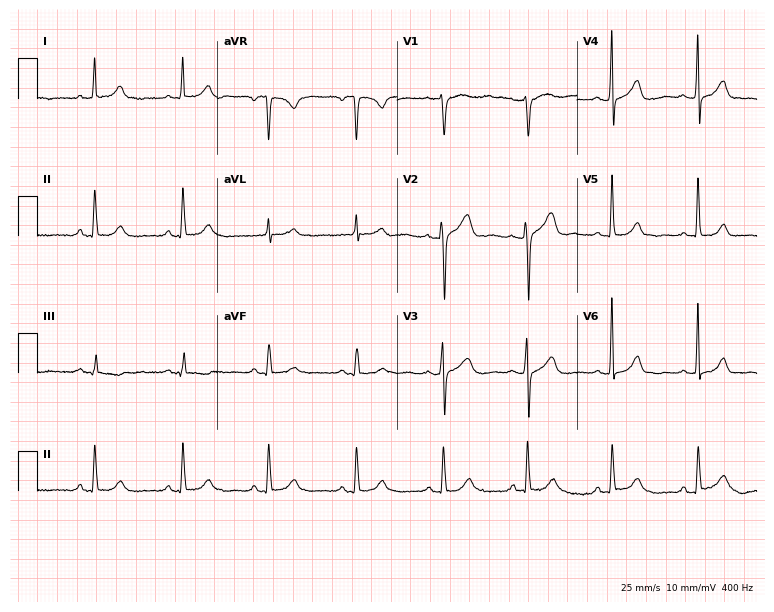
ECG (7.3-second recording at 400 Hz) — a 65-year-old male. Labelled as a normal ECG.